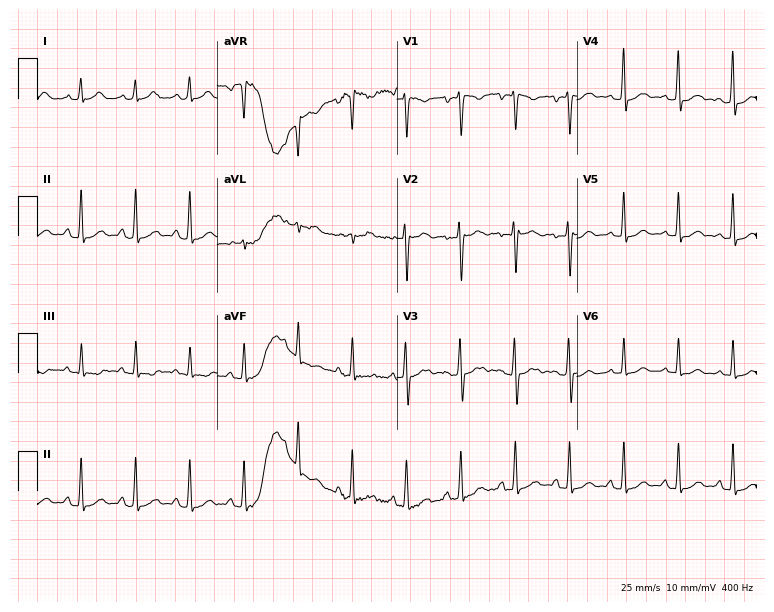
Standard 12-lead ECG recorded from a 19-year-old male (7.3-second recording at 400 Hz). None of these six findings is recorded: first-degree AV block, right bundle branch block, left bundle branch block, sinus bradycardia, atrial fibrillation, sinus tachycardia. Other findings, if any, are not listed.